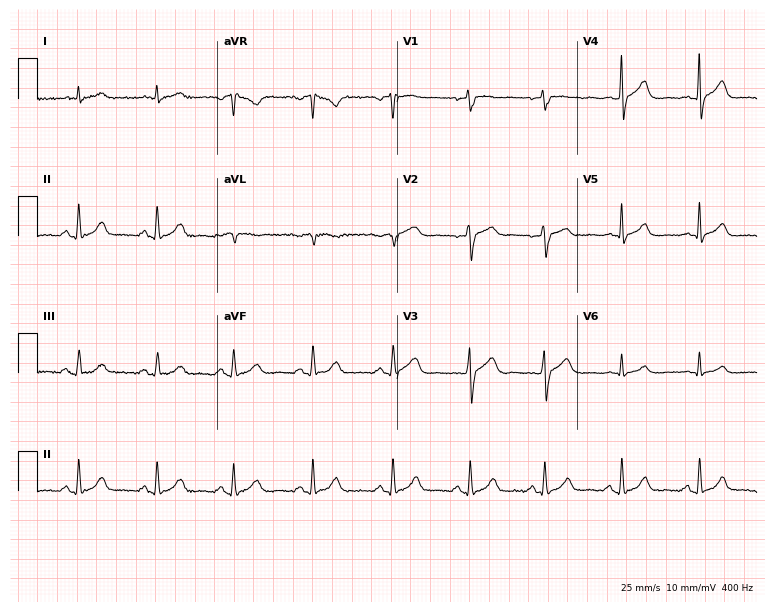
Resting 12-lead electrocardiogram. Patient: a 56-year-old male. Read as a normal ECG.